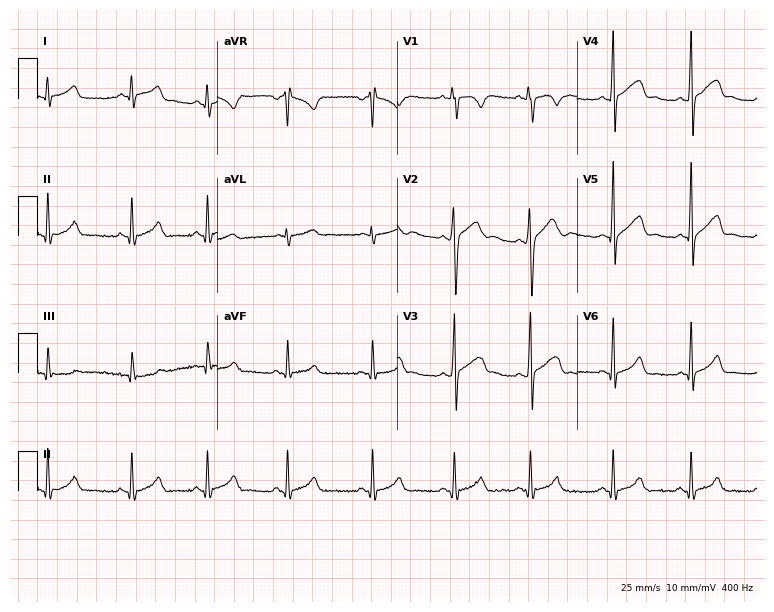
Standard 12-lead ECG recorded from an 18-year-old man (7.3-second recording at 400 Hz). None of these six findings is recorded: first-degree AV block, right bundle branch block, left bundle branch block, sinus bradycardia, atrial fibrillation, sinus tachycardia. Other findings, if any, are not listed.